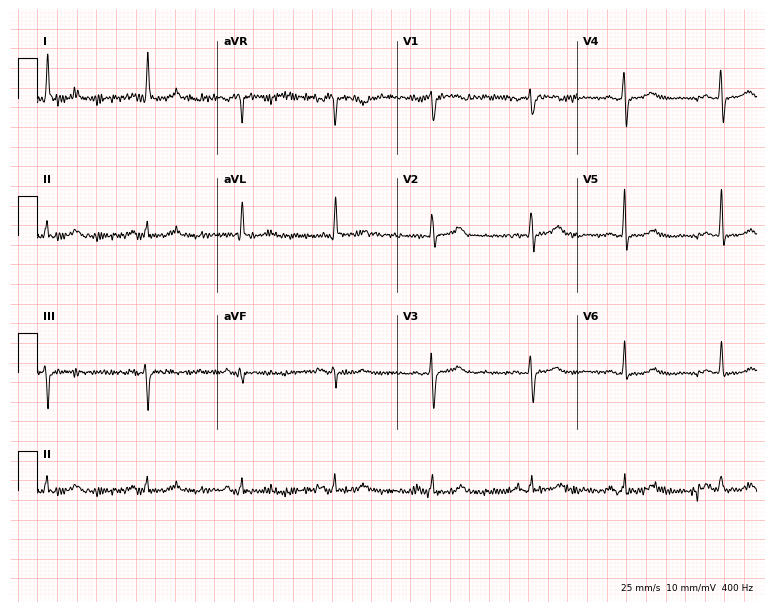
Standard 12-lead ECG recorded from a woman, 72 years old (7.3-second recording at 400 Hz). Read as a normal ECG.